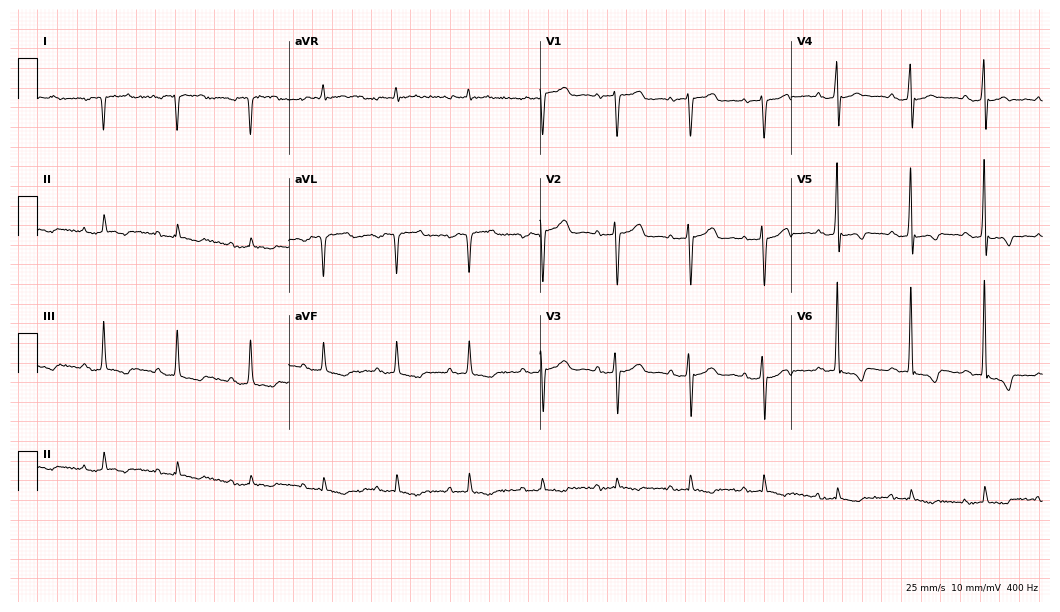
12-lead ECG from a woman, 81 years old. No first-degree AV block, right bundle branch block (RBBB), left bundle branch block (LBBB), sinus bradycardia, atrial fibrillation (AF) or sinus tachycardia recorded for this tracing. Findings outside these six are not listed.